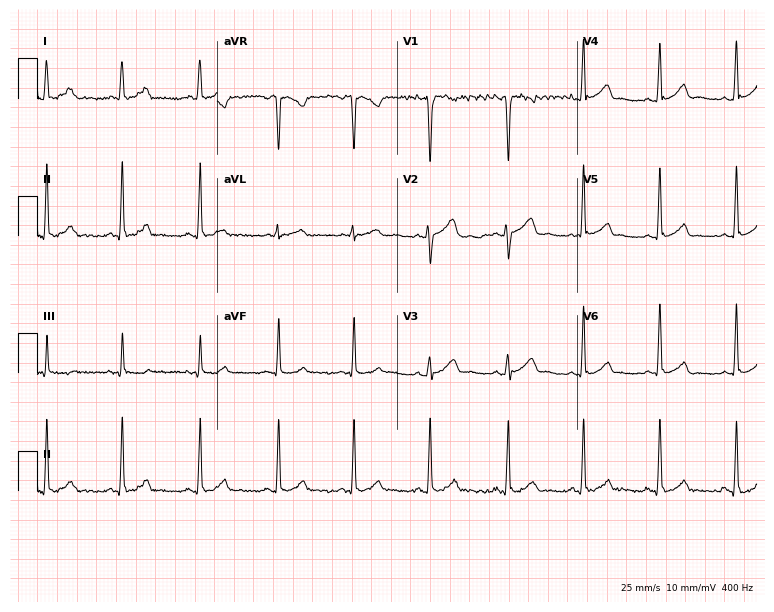
Resting 12-lead electrocardiogram (7.3-second recording at 400 Hz). Patient: a female, 31 years old. Read as a normal ECG.